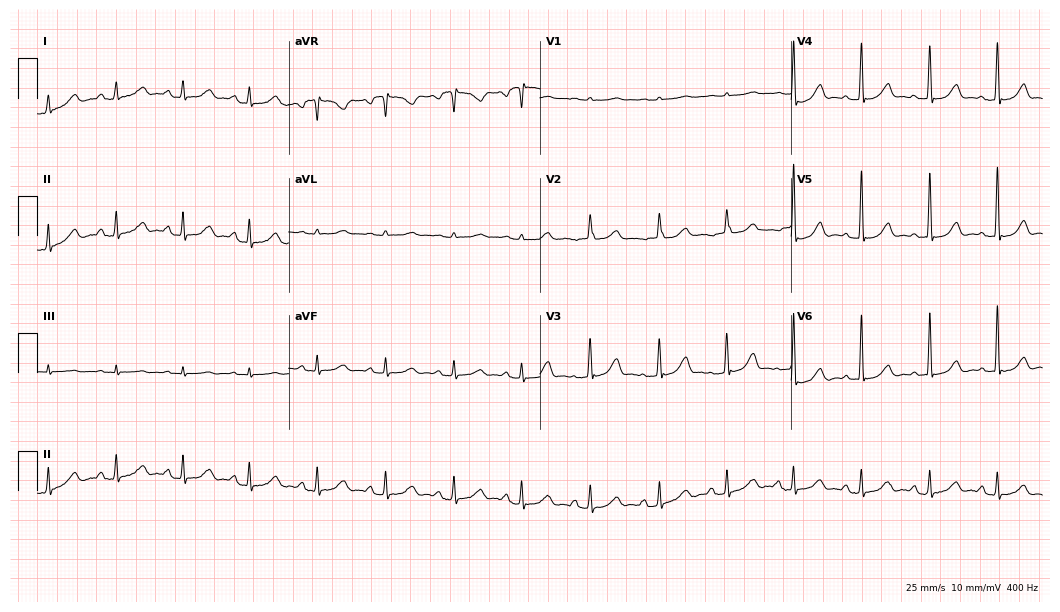
12-lead ECG from a 70-year-old woman. Recorded interpretation: within normal limits.